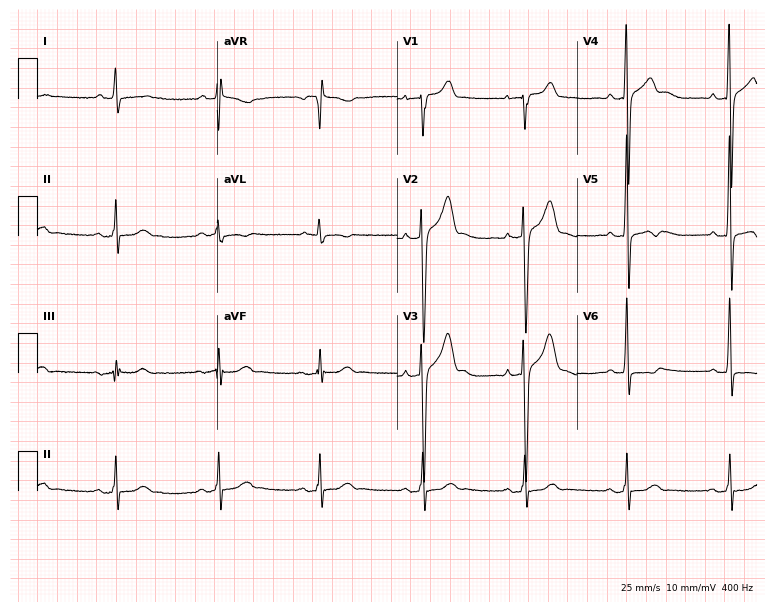
Standard 12-lead ECG recorded from a 53-year-old male. None of these six findings is recorded: first-degree AV block, right bundle branch block, left bundle branch block, sinus bradycardia, atrial fibrillation, sinus tachycardia.